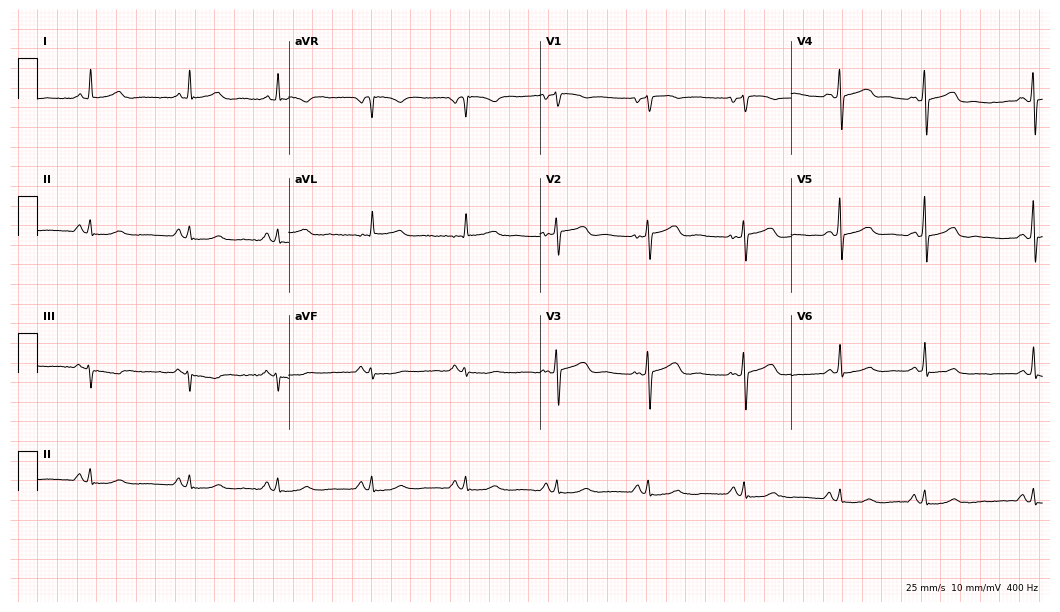
Standard 12-lead ECG recorded from a female patient, 47 years old (10.2-second recording at 400 Hz). None of these six findings is recorded: first-degree AV block, right bundle branch block (RBBB), left bundle branch block (LBBB), sinus bradycardia, atrial fibrillation (AF), sinus tachycardia.